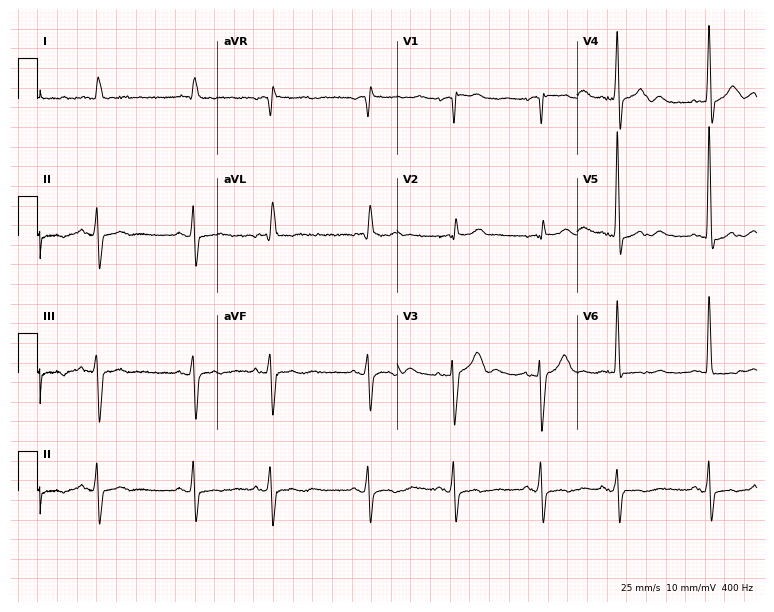
12-lead ECG from a man, 78 years old (7.3-second recording at 400 Hz). No first-degree AV block, right bundle branch block, left bundle branch block, sinus bradycardia, atrial fibrillation or sinus tachycardia recorded for this tracing. Findings outside these six are not listed.